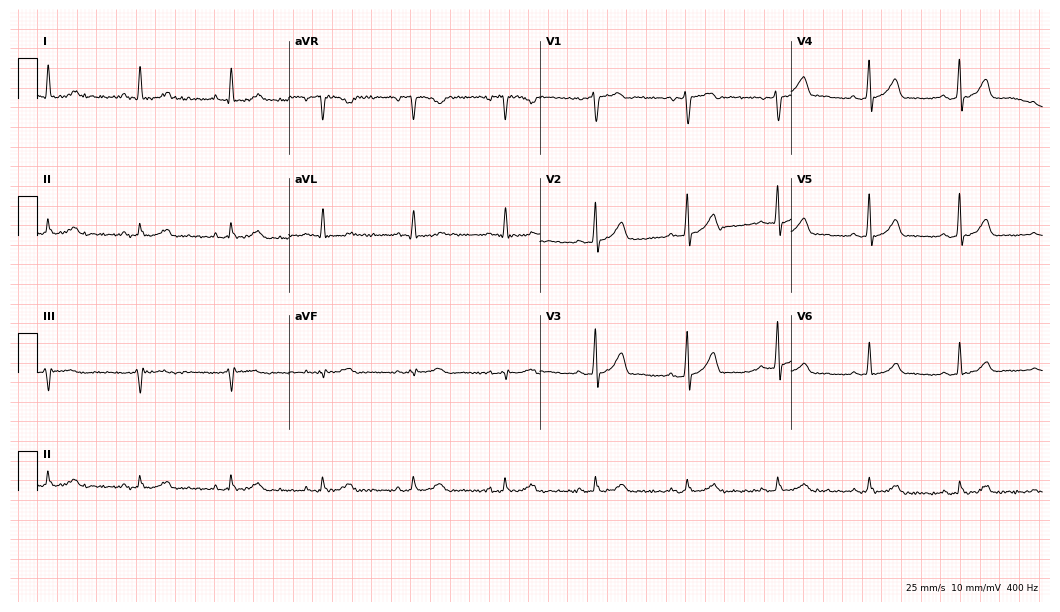
Electrocardiogram, a male patient, 55 years old. Of the six screened findings (first-degree AV block, right bundle branch block, left bundle branch block, sinus bradycardia, atrial fibrillation, sinus tachycardia), none is recorded. Other findings, if any, are not listed.